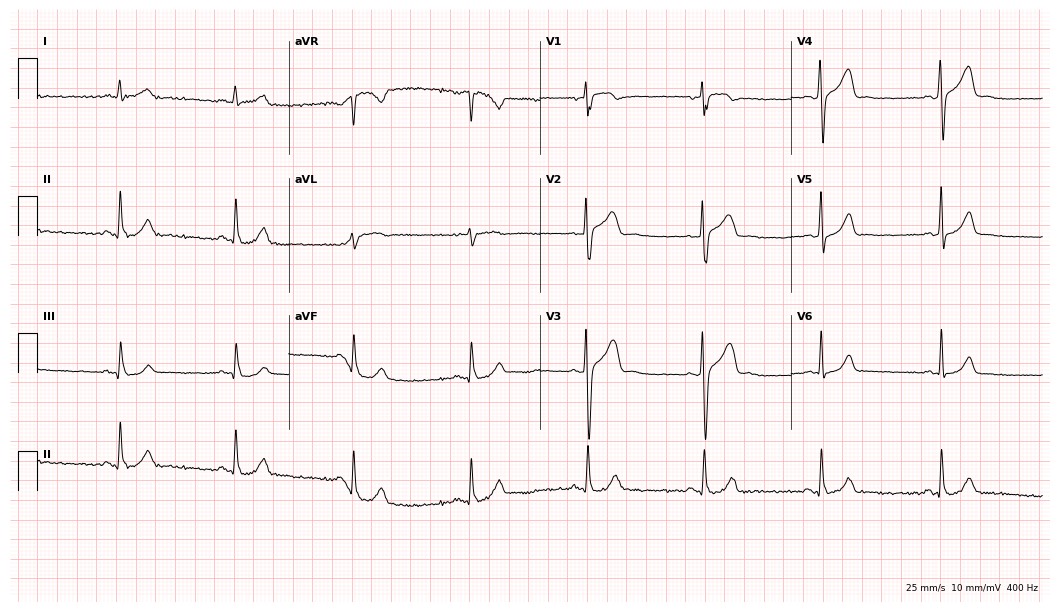
Standard 12-lead ECG recorded from a man, 50 years old (10.2-second recording at 400 Hz). Read as a normal ECG.